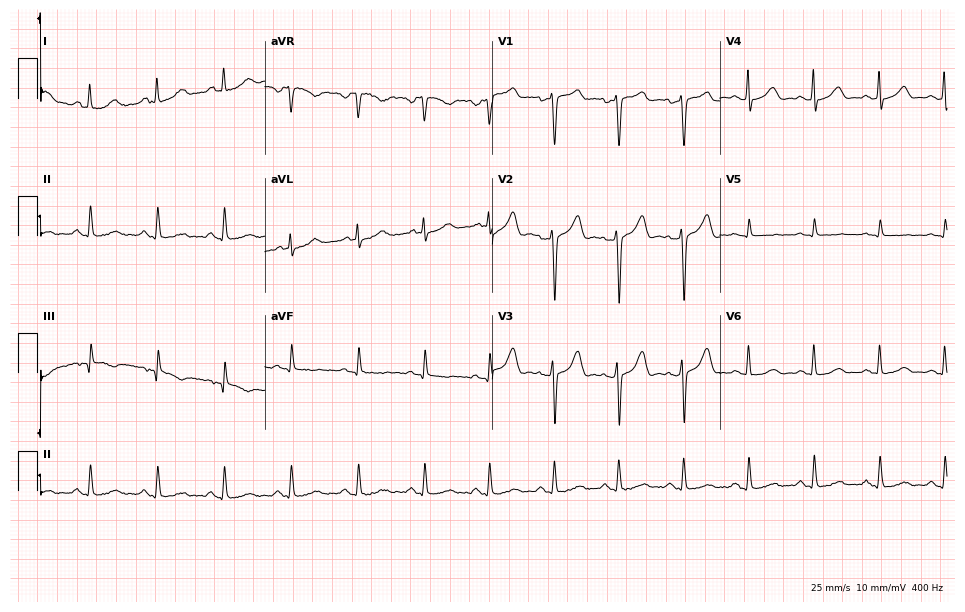
12-lead ECG from a 40-year-old woman. Labelled as a normal ECG.